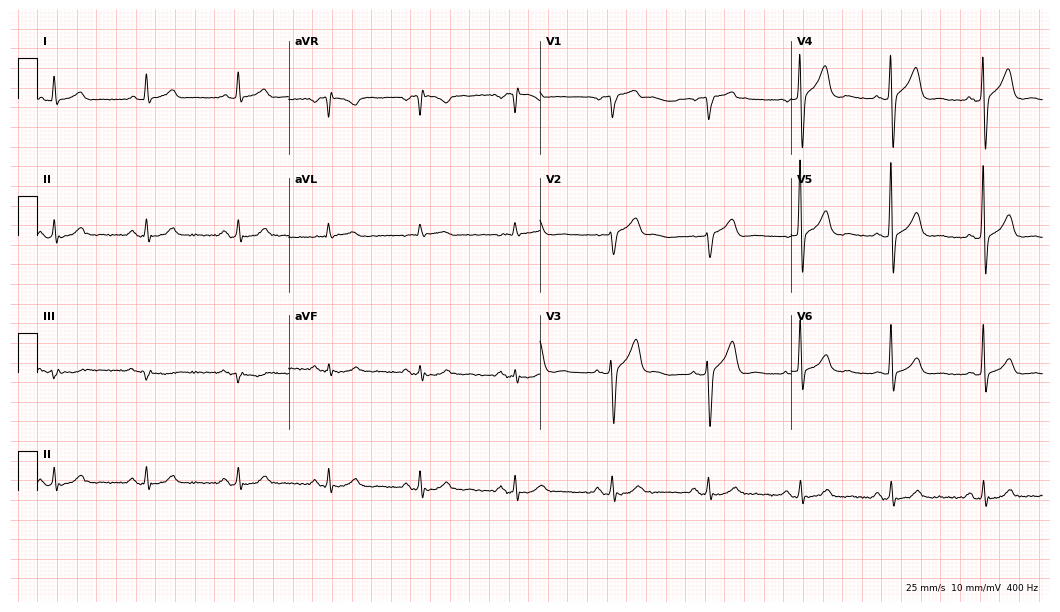
Standard 12-lead ECG recorded from a 50-year-old male. Read as a normal ECG.